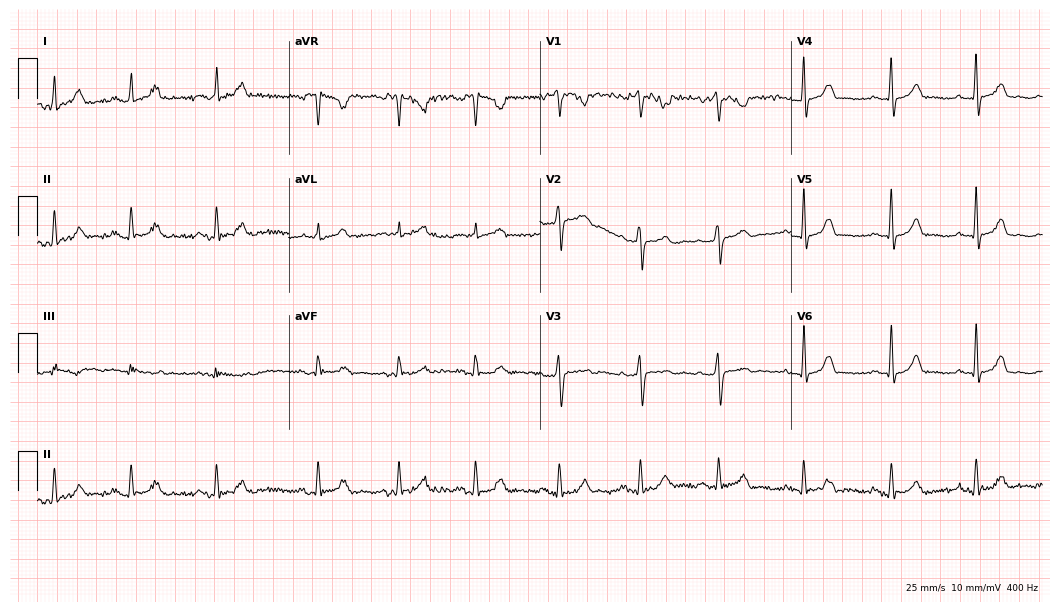
ECG (10.2-second recording at 400 Hz) — a woman, 26 years old. Labelled as a normal ECG.